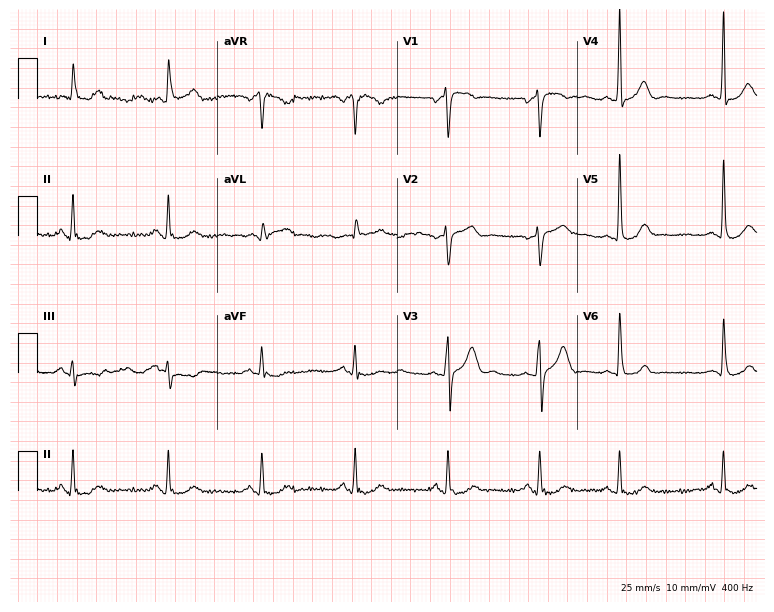
Resting 12-lead electrocardiogram. Patient: a man, 67 years old. None of these six findings is recorded: first-degree AV block, right bundle branch block, left bundle branch block, sinus bradycardia, atrial fibrillation, sinus tachycardia.